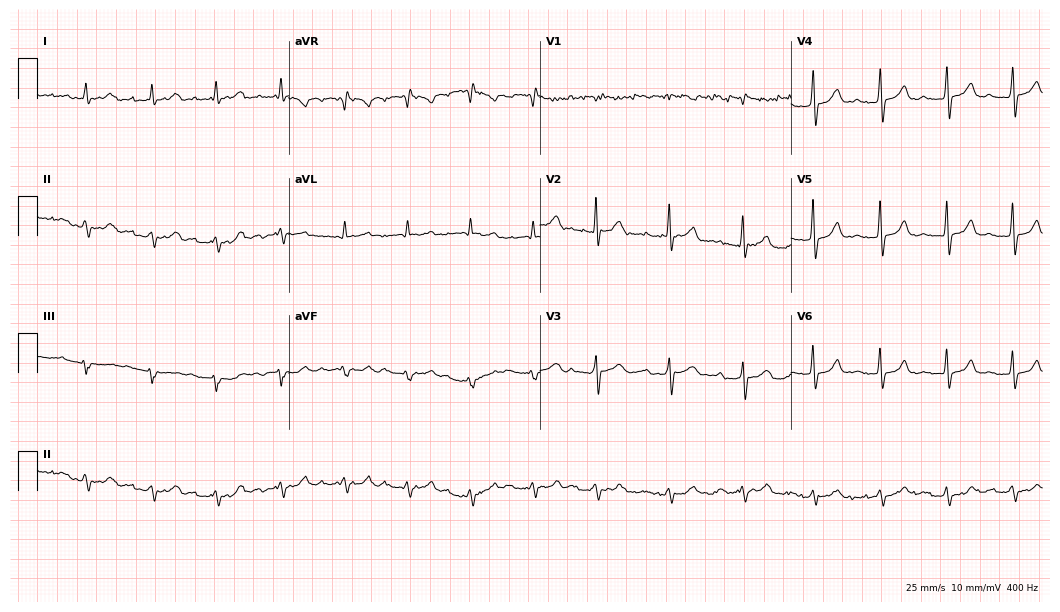
12-lead ECG from a man, 73 years old. Screened for six findings — first-degree AV block, right bundle branch block, left bundle branch block, sinus bradycardia, atrial fibrillation, sinus tachycardia — none is recorded.